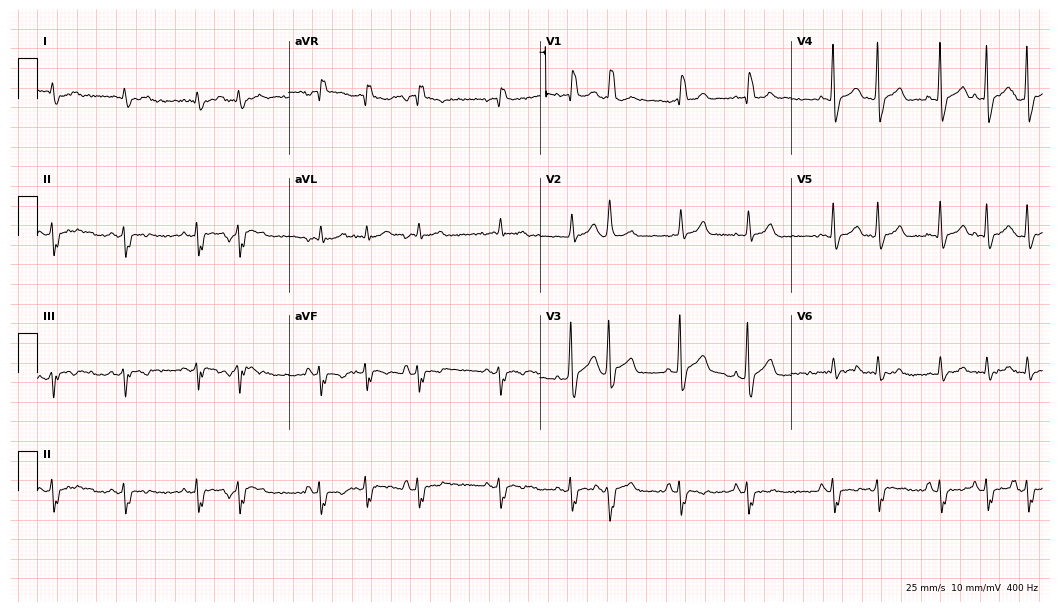
Resting 12-lead electrocardiogram (10.2-second recording at 400 Hz). Patient: a 77-year-old male. None of these six findings is recorded: first-degree AV block, right bundle branch block, left bundle branch block, sinus bradycardia, atrial fibrillation, sinus tachycardia.